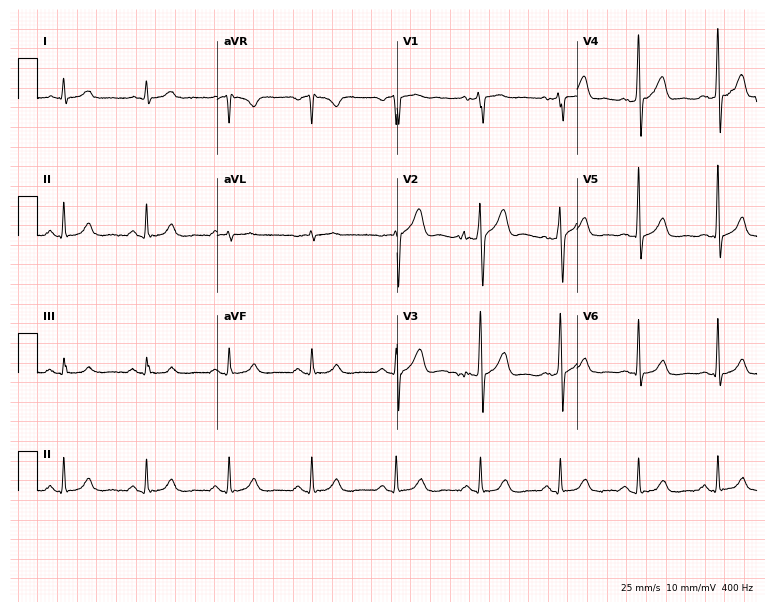
12-lead ECG from a man, 55 years old (7.3-second recording at 400 Hz). Recorded interpretation: within normal limits.